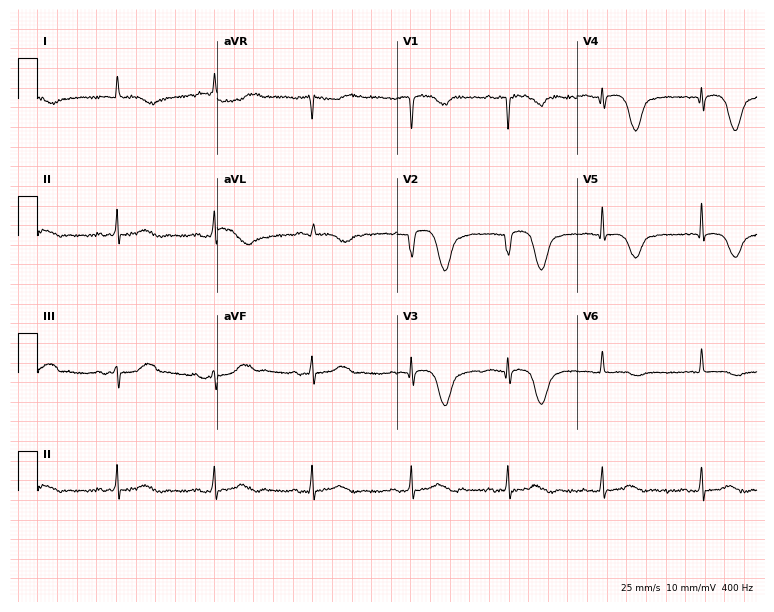
Standard 12-lead ECG recorded from a woman, 84 years old. Read as a normal ECG.